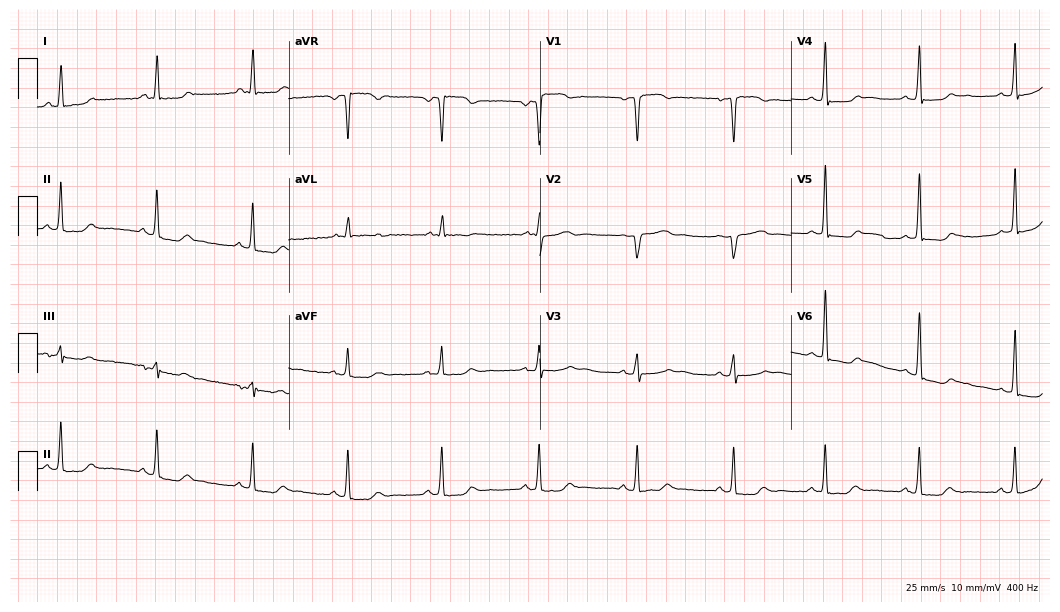
Electrocardiogram (10.2-second recording at 400 Hz), a female, 36 years old. Of the six screened findings (first-degree AV block, right bundle branch block, left bundle branch block, sinus bradycardia, atrial fibrillation, sinus tachycardia), none is recorded. Only these six findings were labelled.